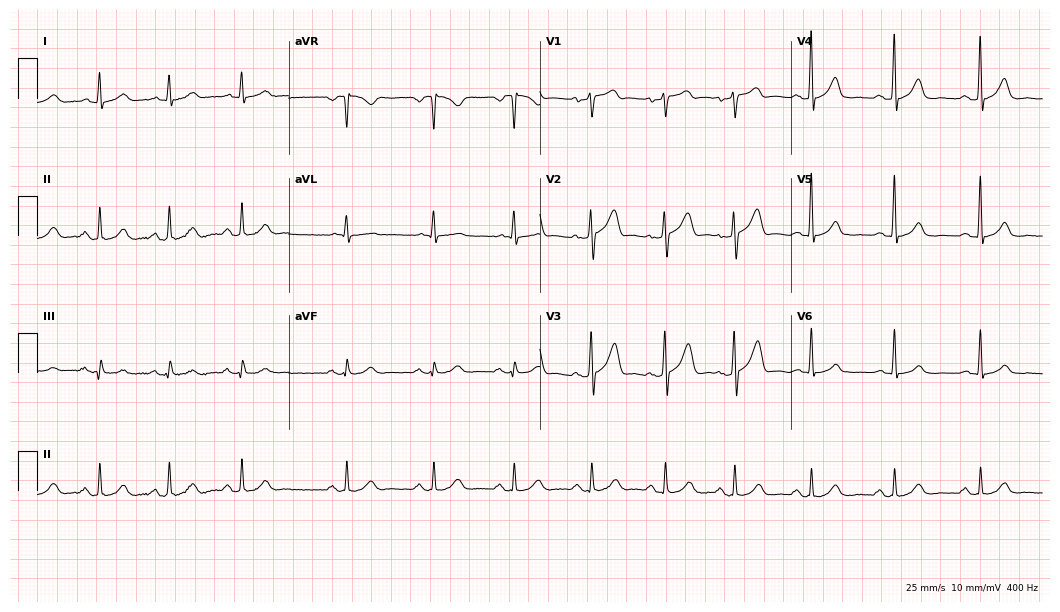
12-lead ECG (10.2-second recording at 400 Hz) from a man, 55 years old. Screened for six findings — first-degree AV block, right bundle branch block, left bundle branch block, sinus bradycardia, atrial fibrillation, sinus tachycardia — none is recorded. Other findings, if any, are not listed.